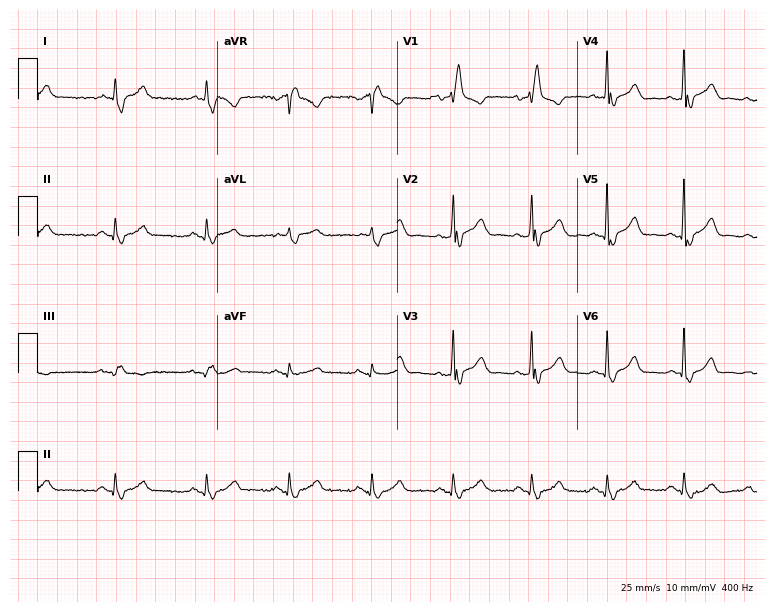
ECG — a male, 68 years old. Findings include right bundle branch block.